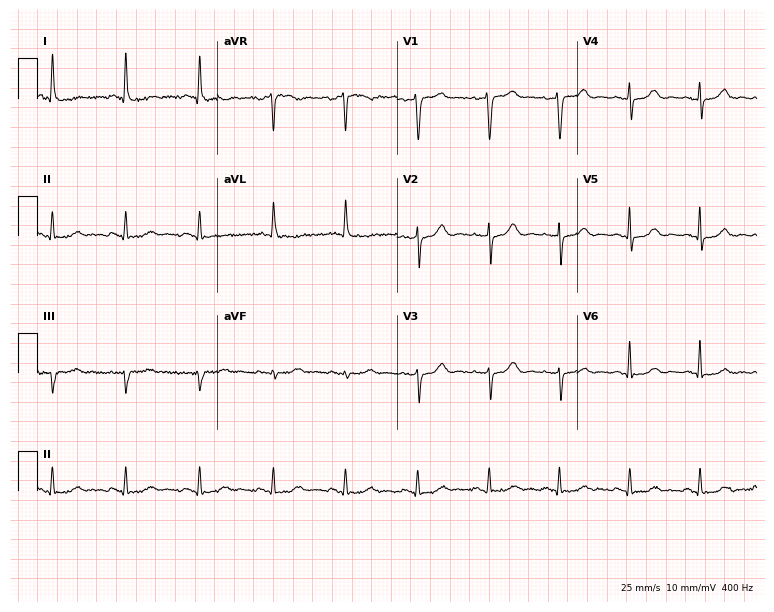
Standard 12-lead ECG recorded from a female, 71 years old. Read as a normal ECG.